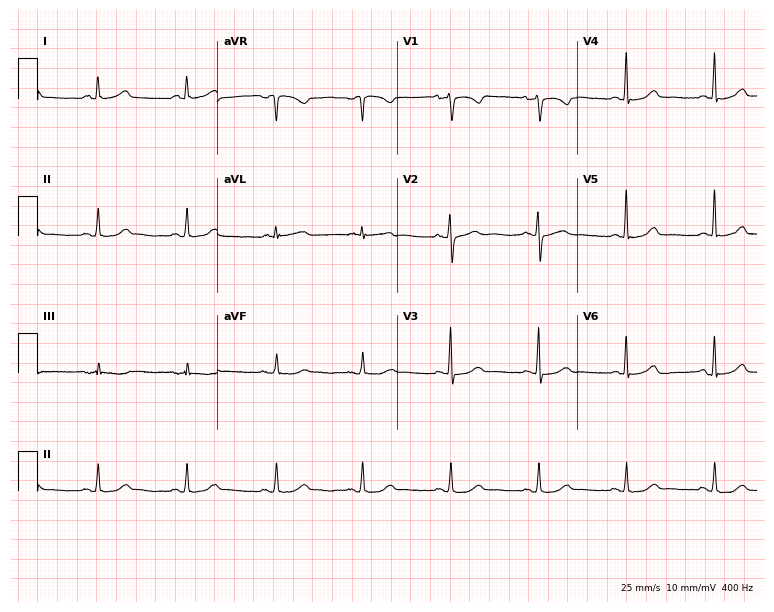
Electrocardiogram (7.3-second recording at 400 Hz), a 58-year-old female patient. Of the six screened findings (first-degree AV block, right bundle branch block, left bundle branch block, sinus bradycardia, atrial fibrillation, sinus tachycardia), none is recorded.